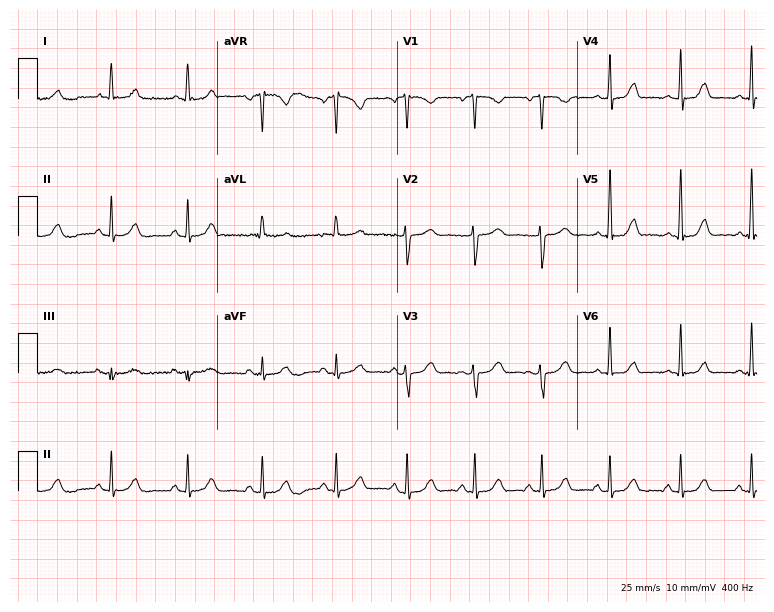
Resting 12-lead electrocardiogram (7.3-second recording at 400 Hz). Patient: a female, 59 years old. Read as a normal ECG.